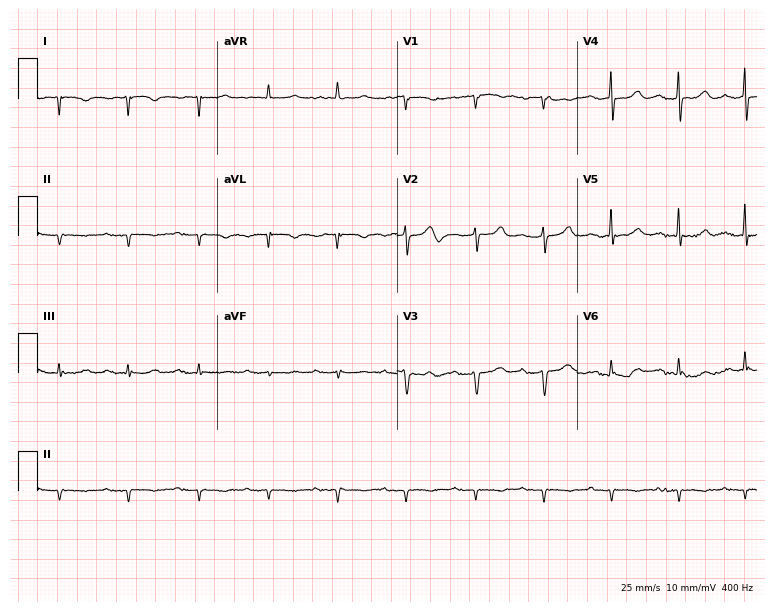
12-lead ECG from an 83-year-old male patient (7.3-second recording at 400 Hz). No first-degree AV block, right bundle branch block (RBBB), left bundle branch block (LBBB), sinus bradycardia, atrial fibrillation (AF) or sinus tachycardia recorded for this tracing.